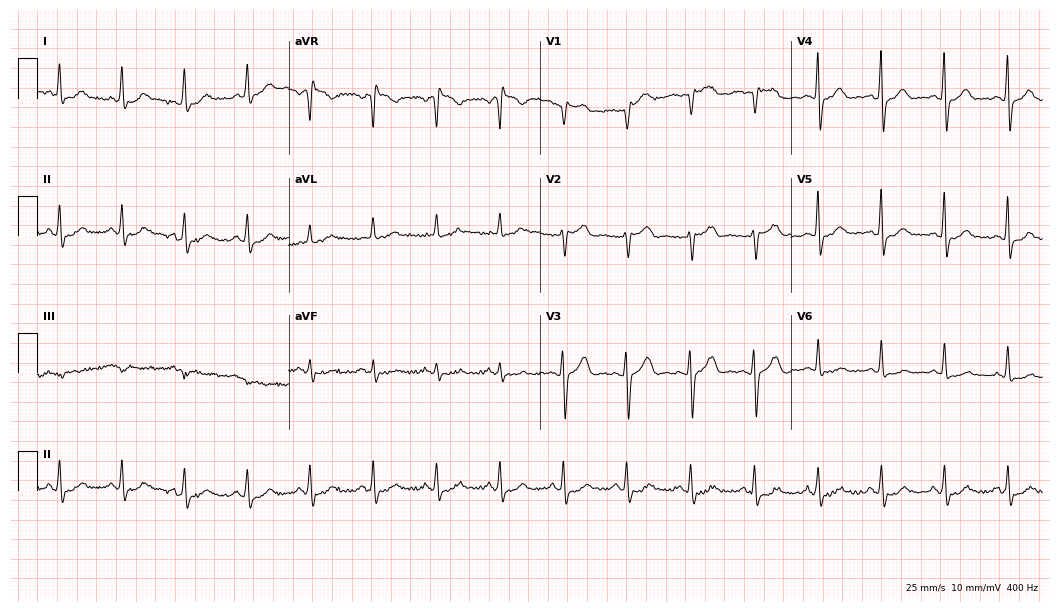
Electrocardiogram (10.2-second recording at 400 Hz), a 67-year-old woman. Overall reading on record: normal ECG.